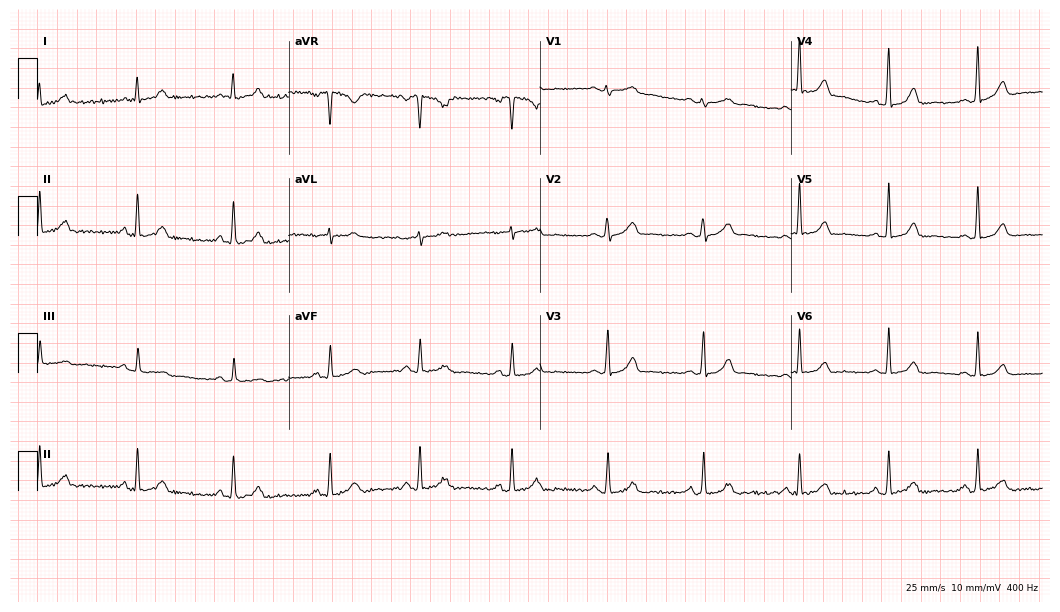
12-lead ECG from a woman, 33 years old (10.2-second recording at 400 Hz). Recorded interpretation: within normal limits.